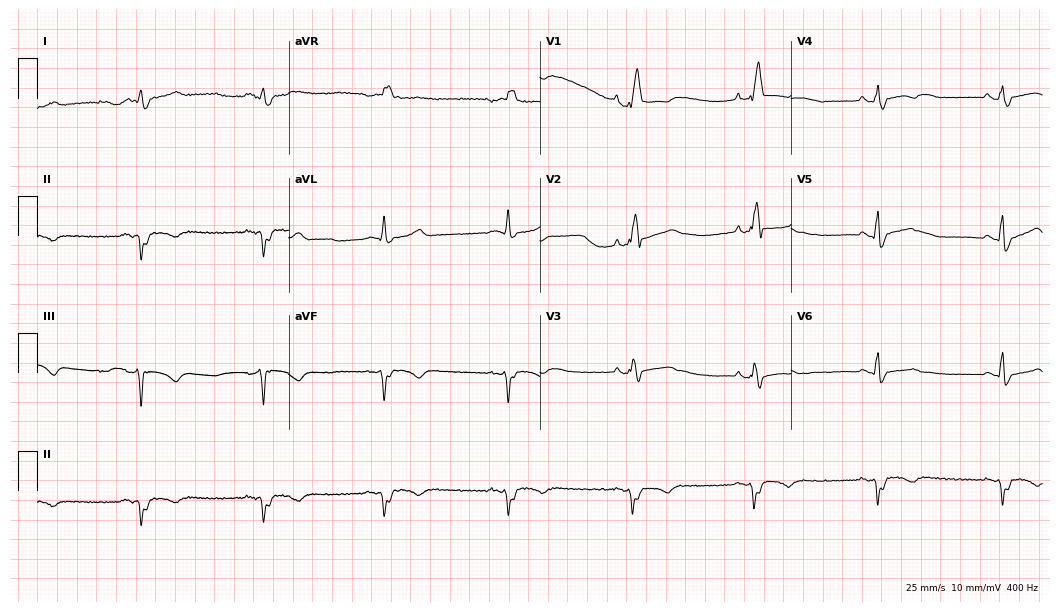
Electrocardiogram, a man, 47 years old. Interpretation includes right bundle branch block (RBBB), sinus bradycardia (a sinus rate of 50 beats per minute or less).